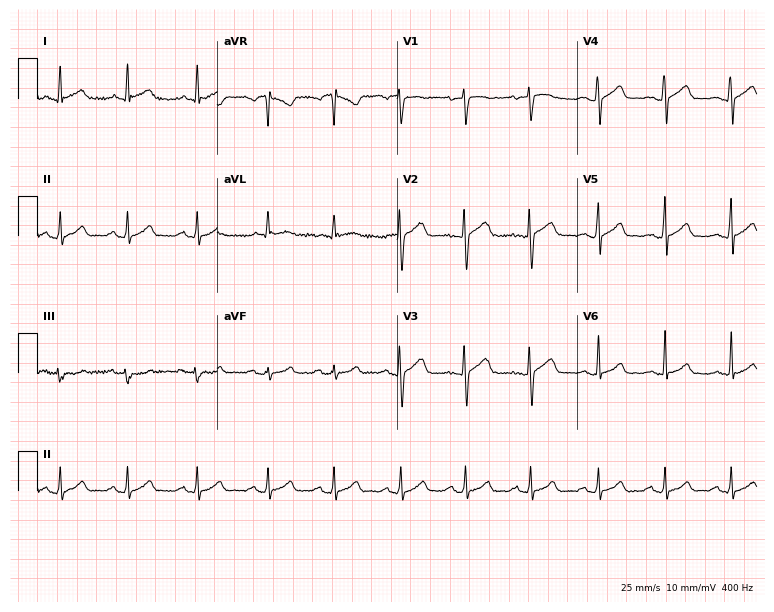
Electrocardiogram (7.3-second recording at 400 Hz), a 28-year-old woman. Of the six screened findings (first-degree AV block, right bundle branch block, left bundle branch block, sinus bradycardia, atrial fibrillation, sinus tachycardia), none is recorded.